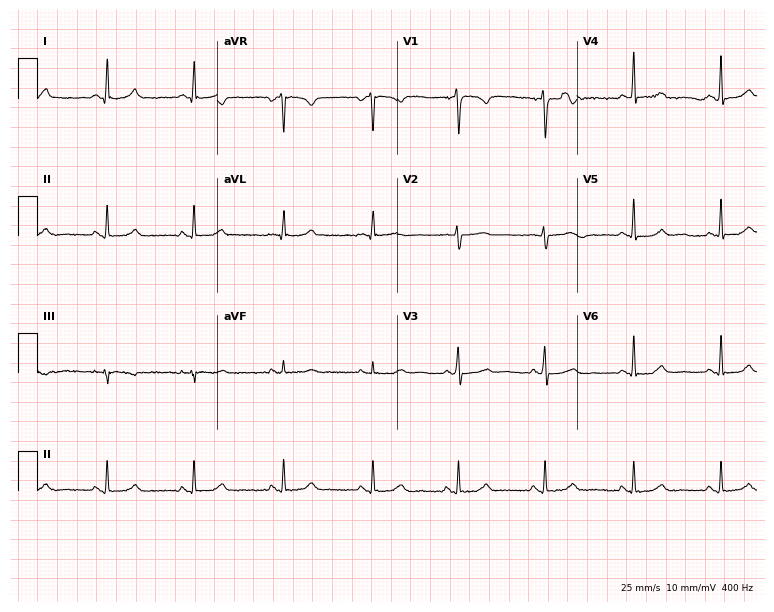
Electrocardiogram (7.3-second recording at 400 Hz), a 39-year-old female. Overall reading on record: normal ECG.